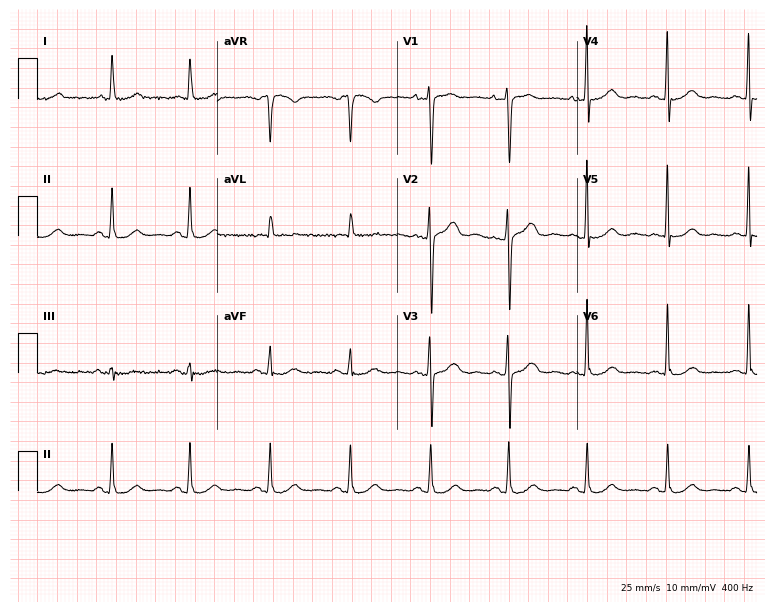
12-lead ECG (7.3-second recording at 400 Hz) from a female, 50 years old. Labelled as a normal ECG.